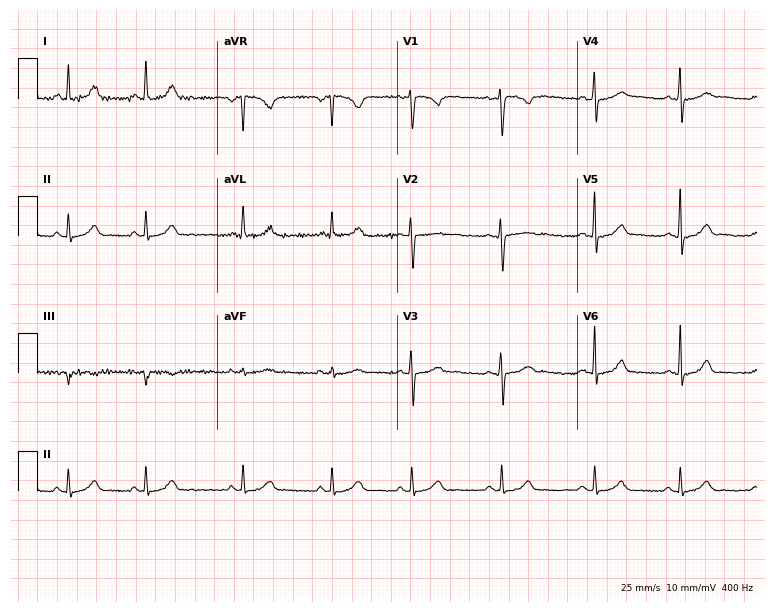
Electrocardiogram, a female patient, 32 years old. Of the six screened findings (first-degree AV block, right bundle branch block (RBBB), left bundle branch block (LBBB), sinus bradycardia, atrial fibrillation (AF), sinus tachycardia), none is recorded. Other findings, if any, are not listed.